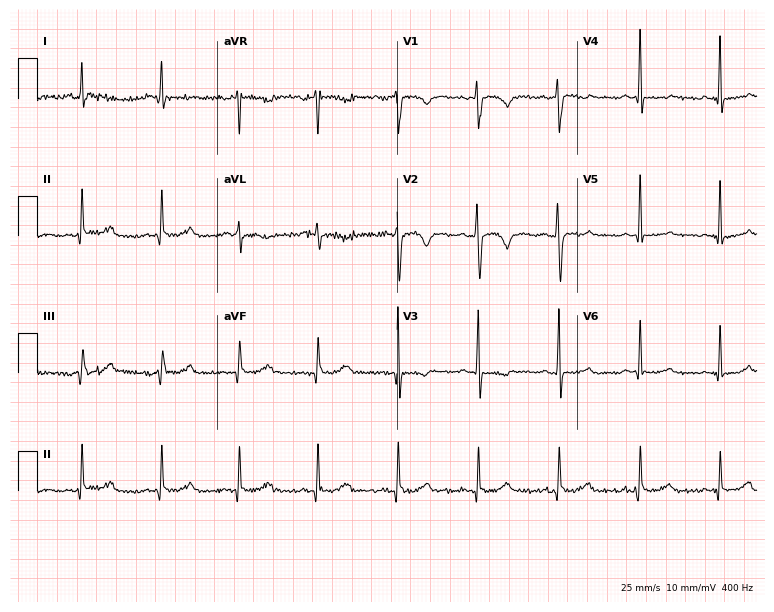
12-lead ECG from a 42-year-old man (7.3-second recording at 400 Hz). No first-degree AV block, right bundle branch block, left bundle branch block, sinus bradycardia, atrial fibrillation or sinus tachycardia recorded for this tracing. Findings outside these six are not listed.